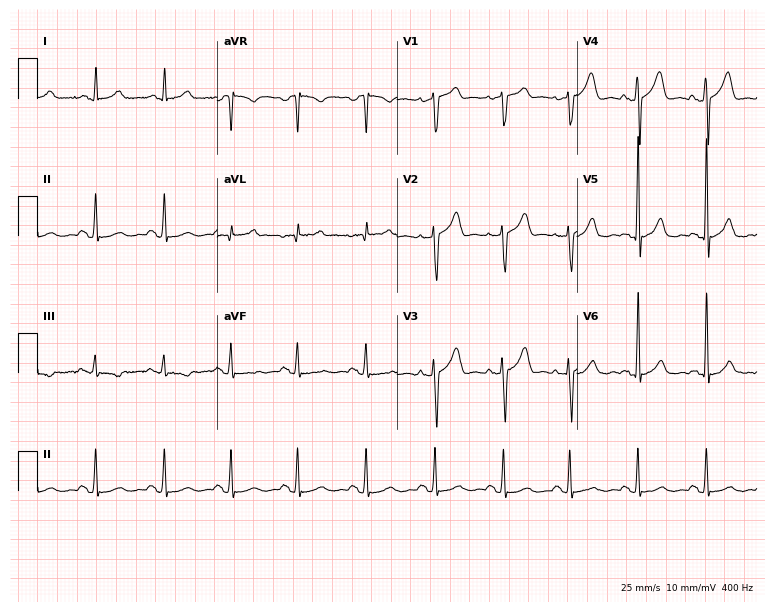
Resting 12-lead electrocardiogram. Patient: a 59-year-old male. None of these six findings is recorded: first-degree AV block, right bundle branch block, left bundle branch block, sinus bradycardia, atrial fibrillation, sinus tachycardia.